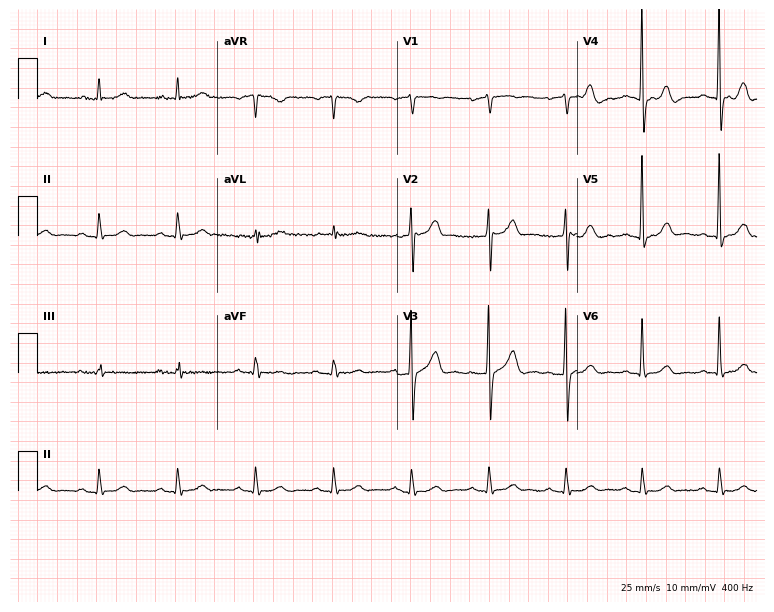
Electrocardiogram (7.3-second recording at 400 Hz), a male, 84 years old. Overall reading on record: normal ECG.